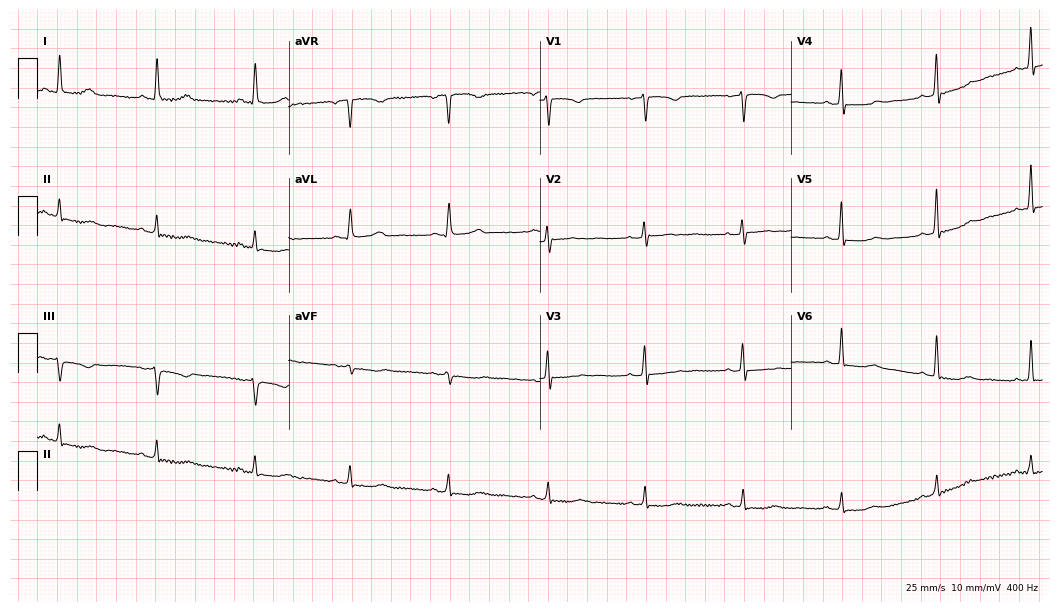
Electrocardiogram, a 67-year-old female patient. Of the six screened findings (first-degree AV block, right bundle branch block, left bundle branch block, sinus bradycardia, atrial fibrillation, sinus tachycardia), none is recorded. Only these six findings were labelled.